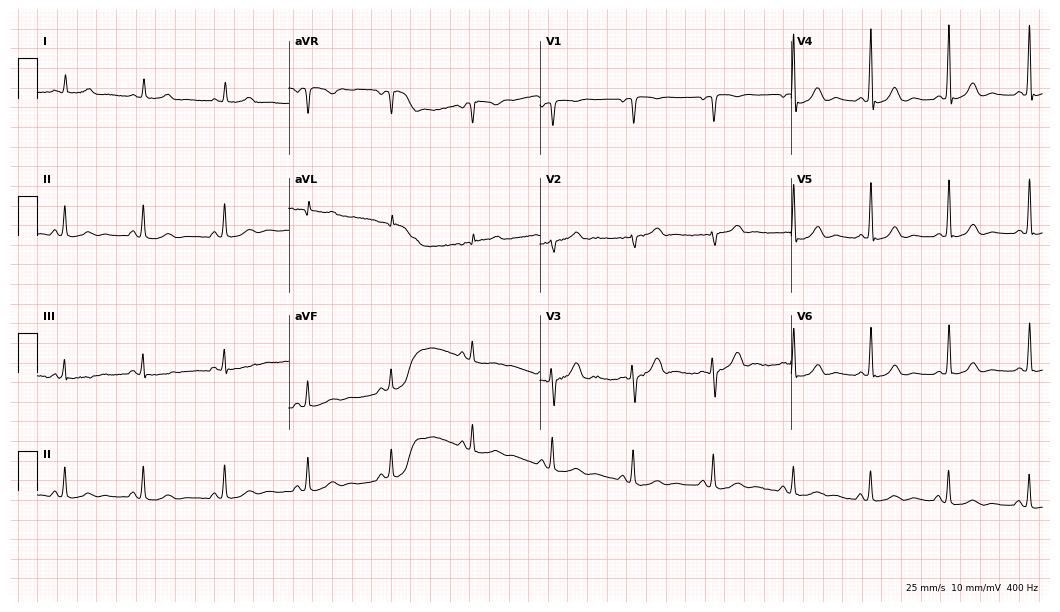
Electrocardiogram (10.2-second recording at 400 Hz), a 39-year-old woman. Overall reading on record: normal ECG.